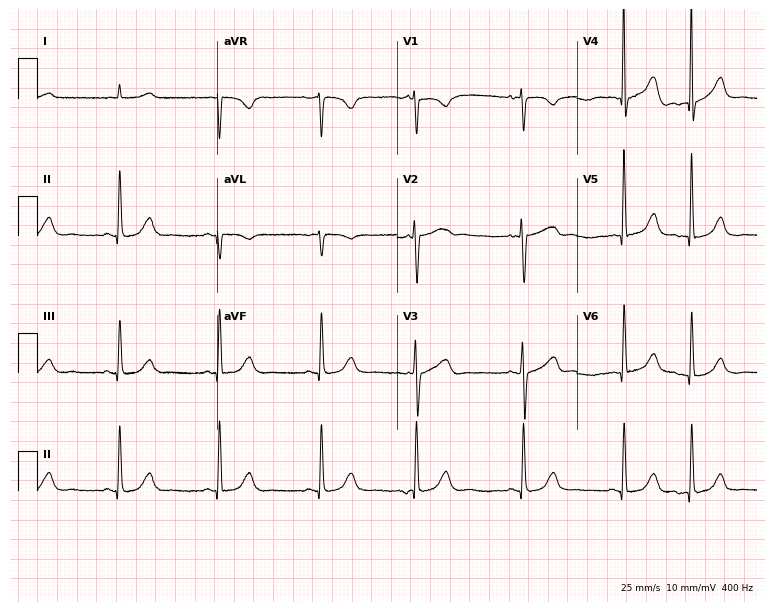
Resting 12-lead electrocardiogram (7.3-second recording at 400 Hz). Patient: an 85-year-old woman. Read as a normal ECG.